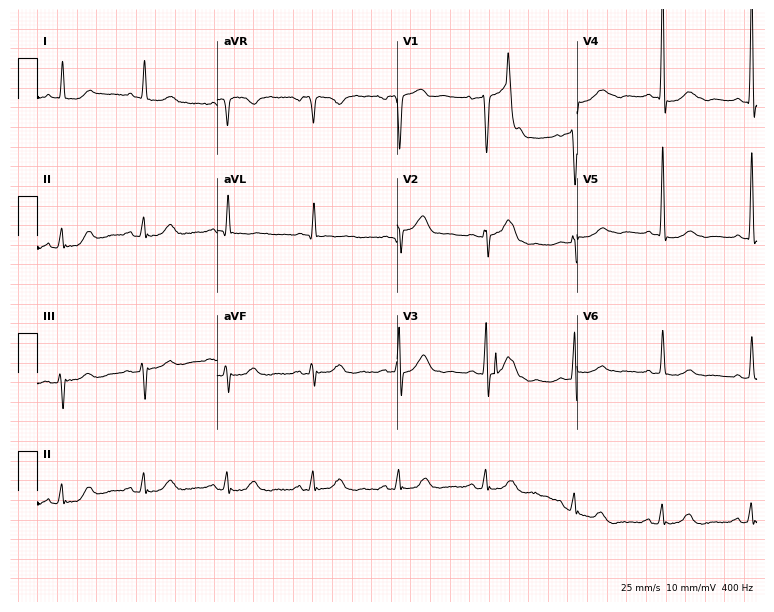
Standard 12-lead ECG recorded from a man, 67 years old. None of these six findings is recorded: first-degree AV block, right bundle branch block, left bundle branch block, sinus bradycardia, atrial fibrillation, sinus tachycardia.